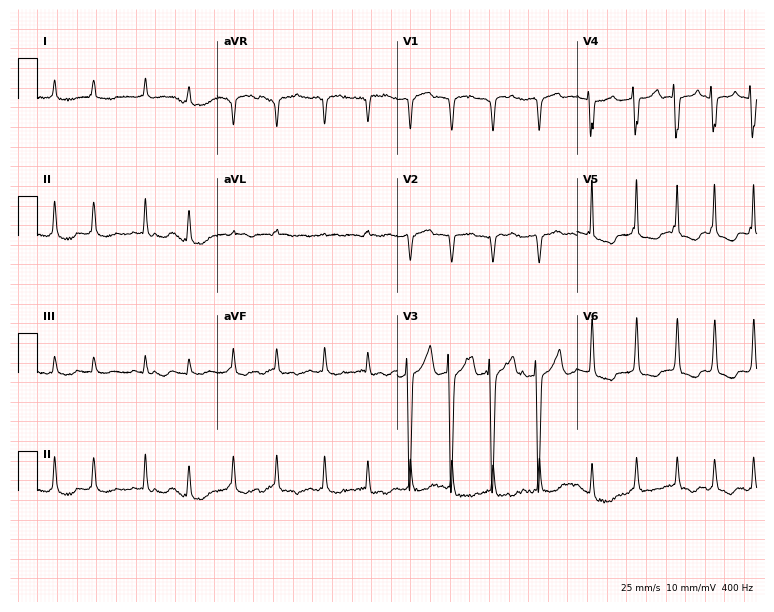
Resting 12-lead electrocardiogram (7.3-second recording at 400 Hz). Patient: a man, 82 years old. The tracing shows atrial fibrillation (AF).